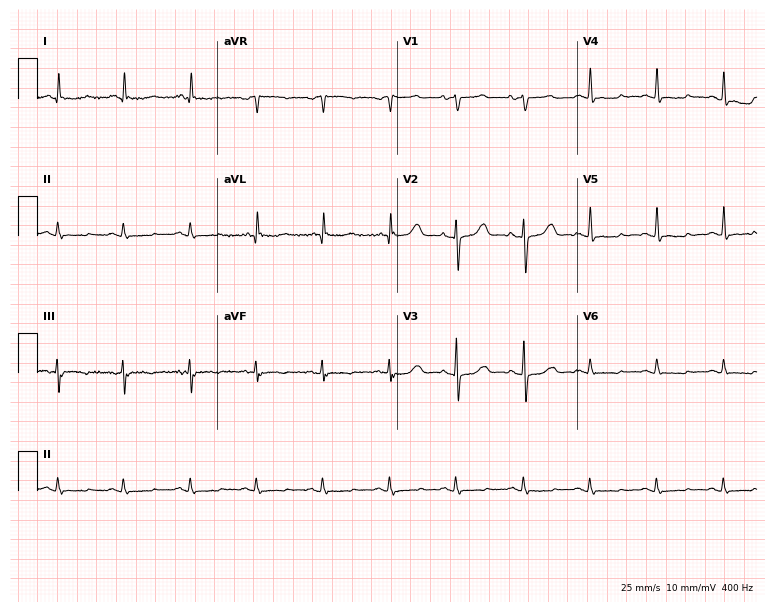
Resting 12-lead electrocardiogram (7.3-second recording at 400 Hz). Patient: a male, 76 years old. None of these six findings is recorded: first-degree AV block, right bundle branch block, left bundle branch block, sinus bradycardia, atrial fibrillation, sinus tachycardia.